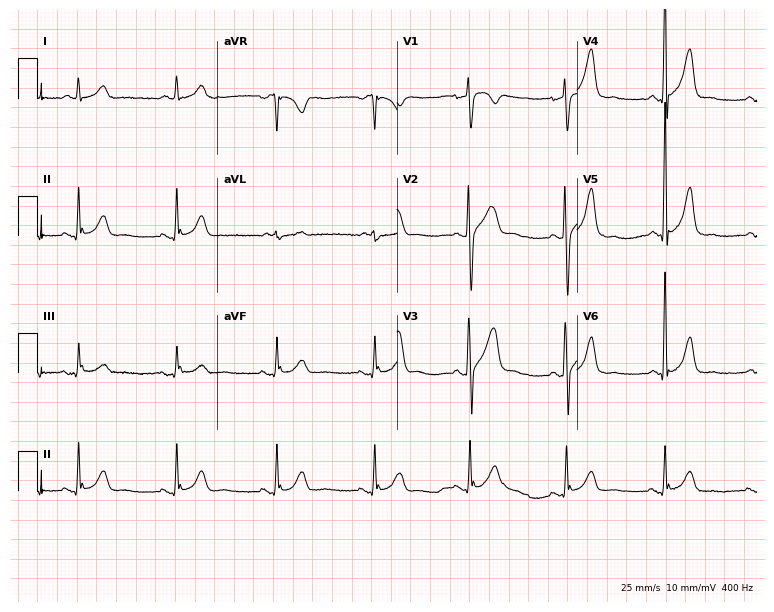
Standard 12-lead ECG recorded from a man, 63 years old (7.3-second recording at 400 Hz). None of these six findings is recorded: first-degree AV block, right bundle branch block, left bundle branch block, sinus bradycardia, atrial fibrillation, sinus tachycardia.